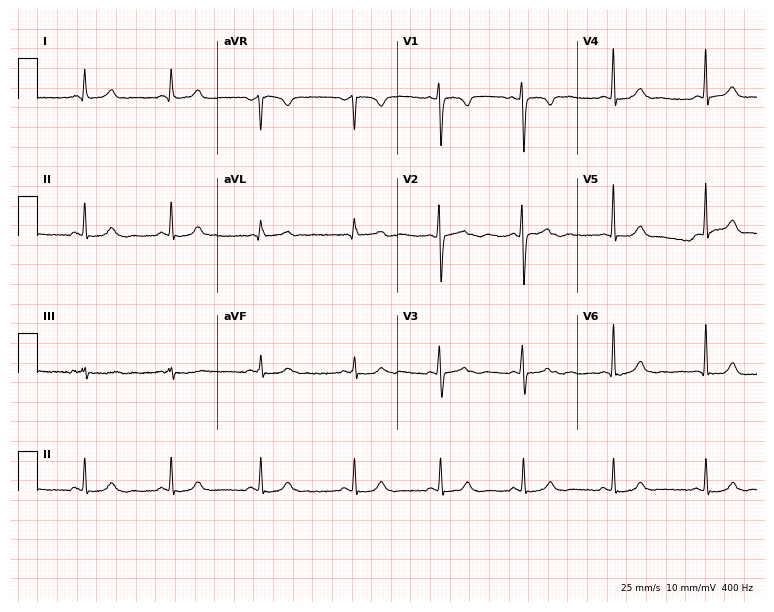
12-lead ECG from a female patient, 27 years old (7.3-second recording at 400 Hz). Recorded interpretation: within normal limits.